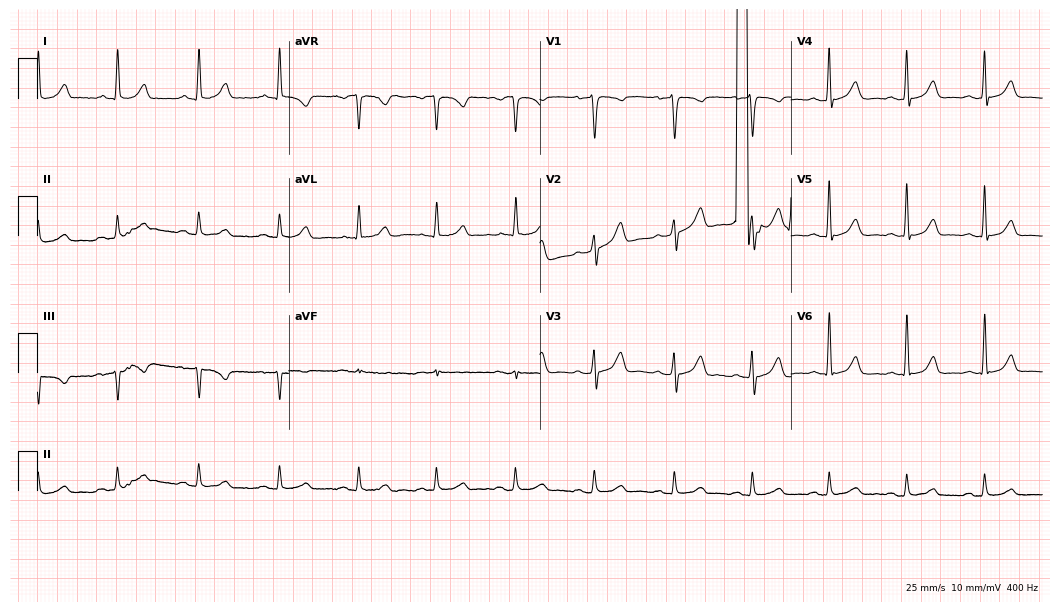
12-lead ECG from a 45-year-old man. No first-degree AV block, right bundle branch block (RBBB), left bundle branch block (LBBB), sinus bradycardia, atrial fibrillation (AF) or sinus tachycardia recorded for this tracing. Only these six findings were labelled.